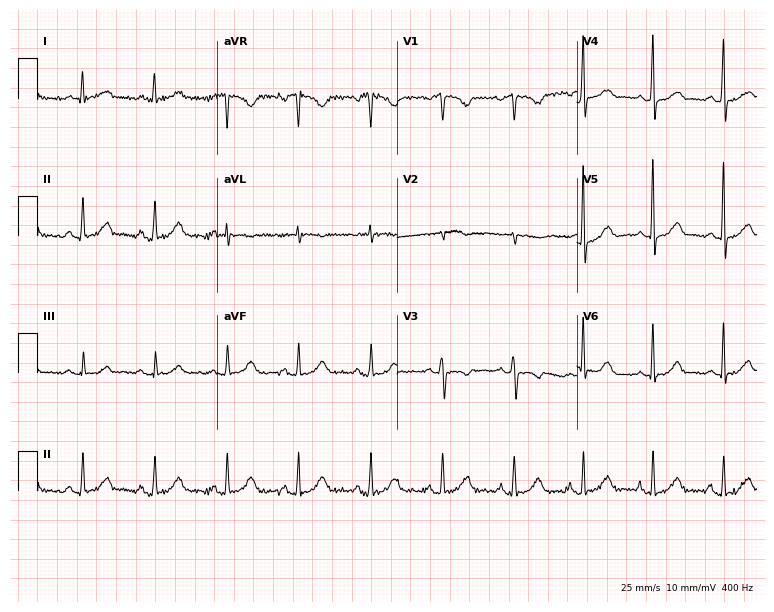
ECG (7.3-second recording at 400 Hz) — a female patient, 49 years old. Screened for six findings — first-degree AV block, right bundle branch block, left bundle branch block, sinus bradycardia, atrial fibrillation, sinus tachycardia — none is recorded. Only these six findings were labelled.